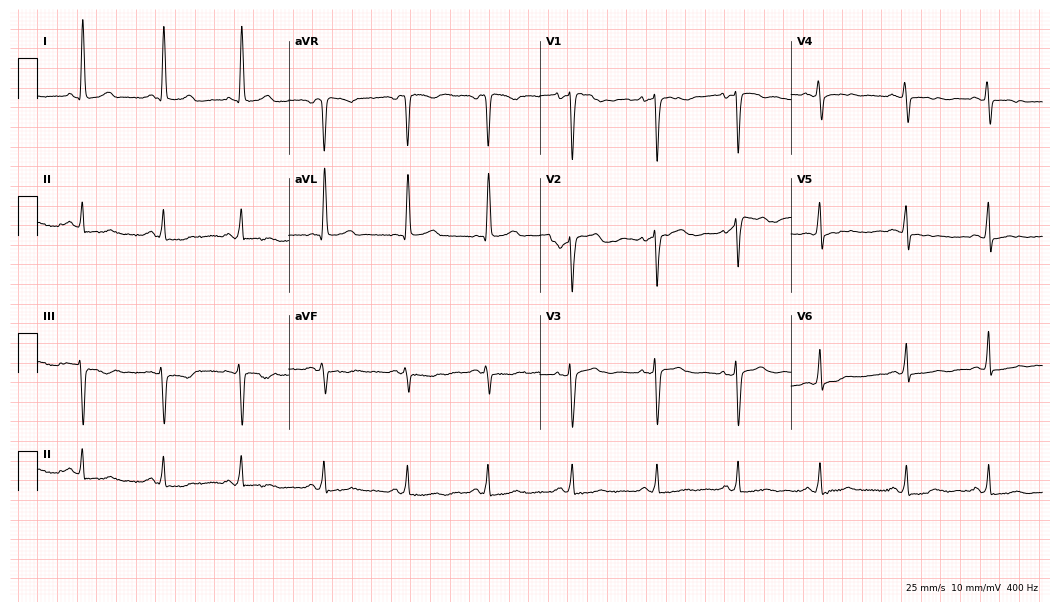
12-lead ECG from a female, 49 years old. Screened for six findings — first-degree AV block, right bundle branch block, left bundle branch block, sinus bradycardia, atrial fibrillation, sinus tachycardia — none is recorded. Other findings, if any, are not listed.